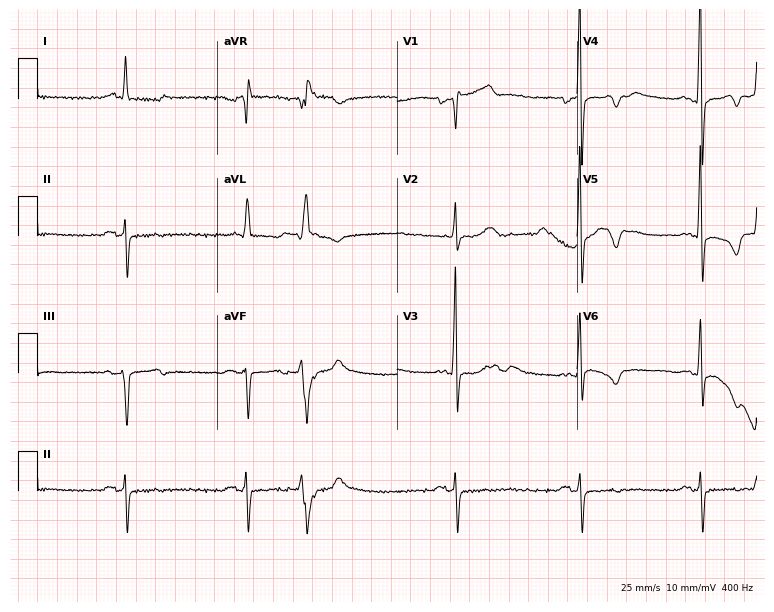
12-lead ECG from a 64-year-old man. No first-degree AV block, right bundle branch block (RBBB), left bundle branch block (LBBB), sinus bradycardia, atrial fibrillation (AF) or sinus tachycardia recorded for this tracing.